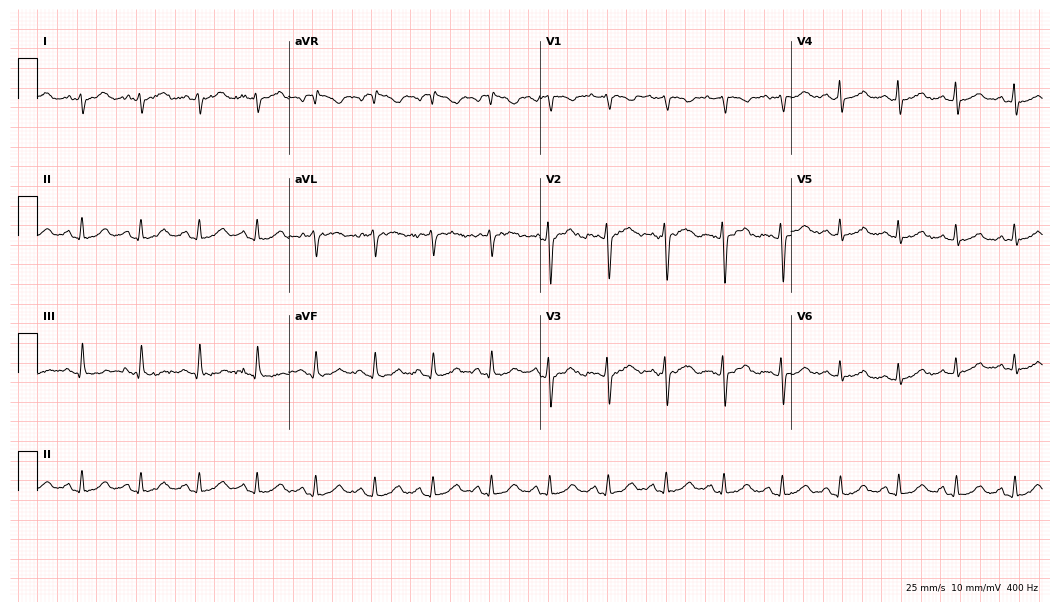
ECG — a woman, 35 years old. Screened for six findings — first-degree AV block, right bundle branch block (RBBB), left bundle branch block (LBBB), sinus bradycardia, atrial fibrillation (AF), sinus tachycardia — none is recorded.